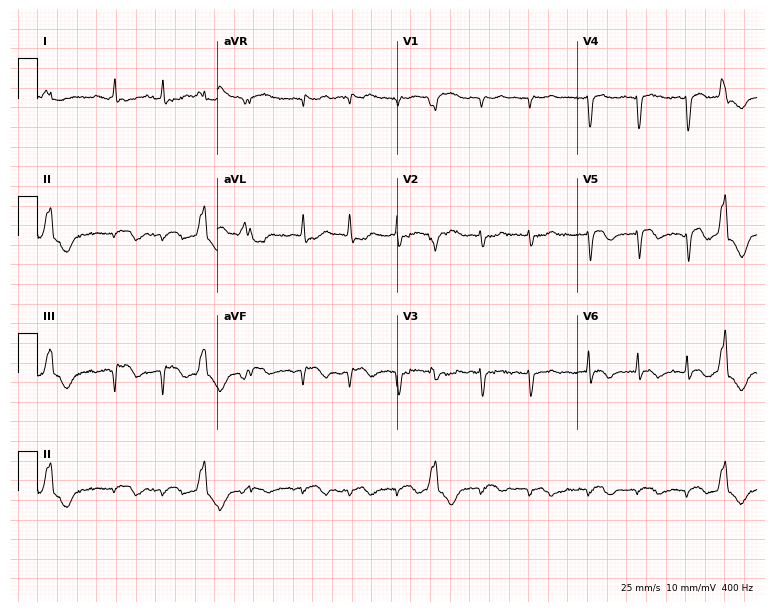
Electrocardiogram, a 72-year-old man. Interpretation includes atrial fibrillation.